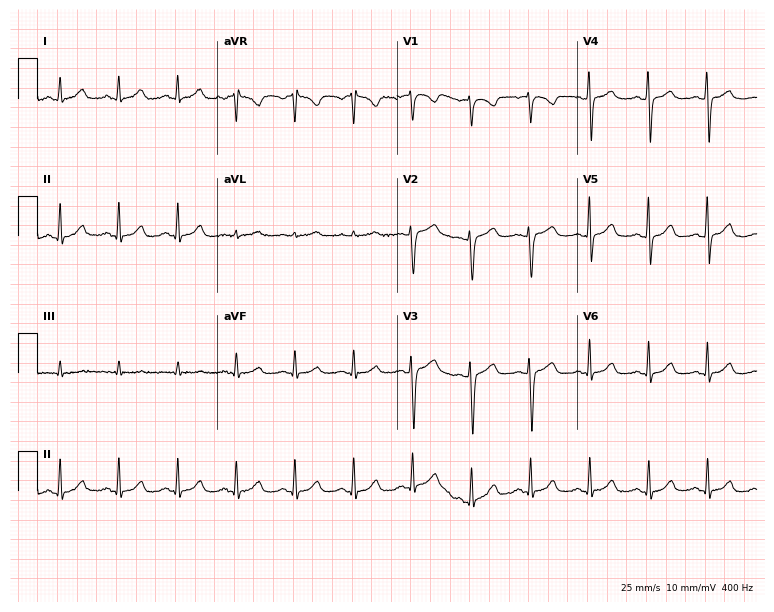
Resting 12-lead electrocardiogram. Patient: a 50-year-old man. Read as a normal ECG.